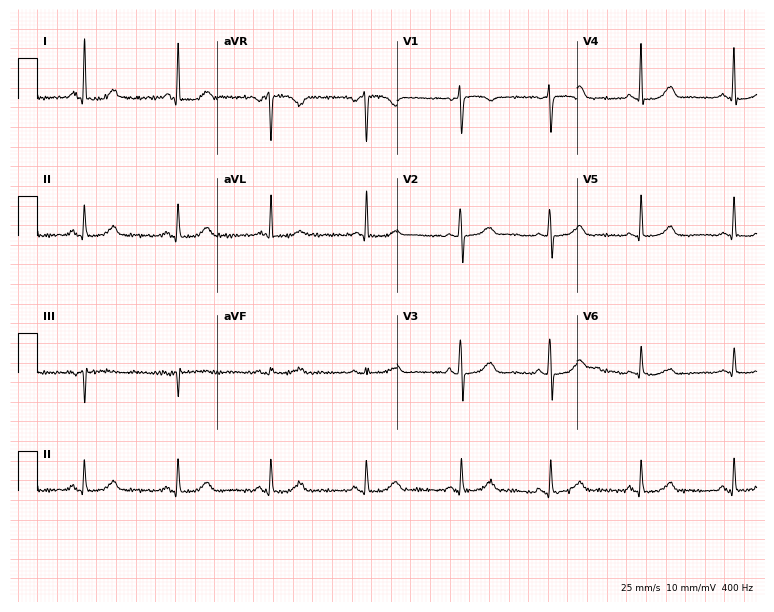
Resting 12-lead electrocardiogram. Patient: a 70-year-old female. Read as a normal ECG.